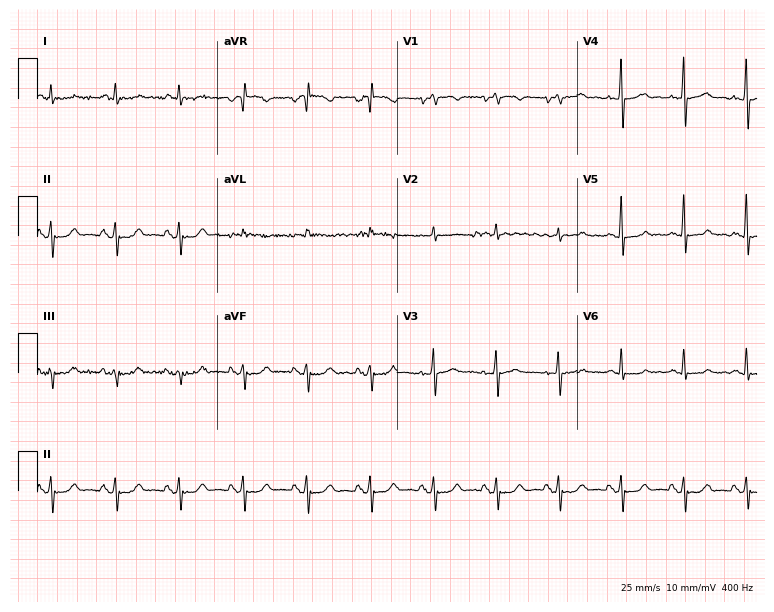
ECG — a man, 76 years old. Screened for six findings — first-degree AV block, right bundle branch block, left bundle branch block, sinus bradycardia, atrial fibrillation, sinus tachycardia — none is recorded.